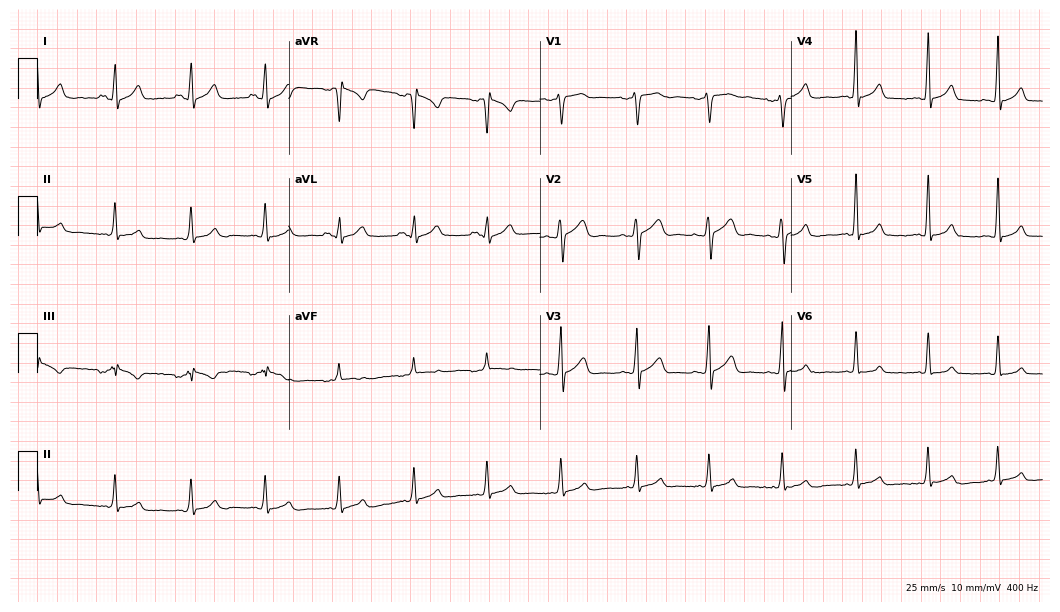
12-lead ECG from a man, 27 years old (10.2-second recording at 400 Hz). Recorded interpretation: within normal limits.